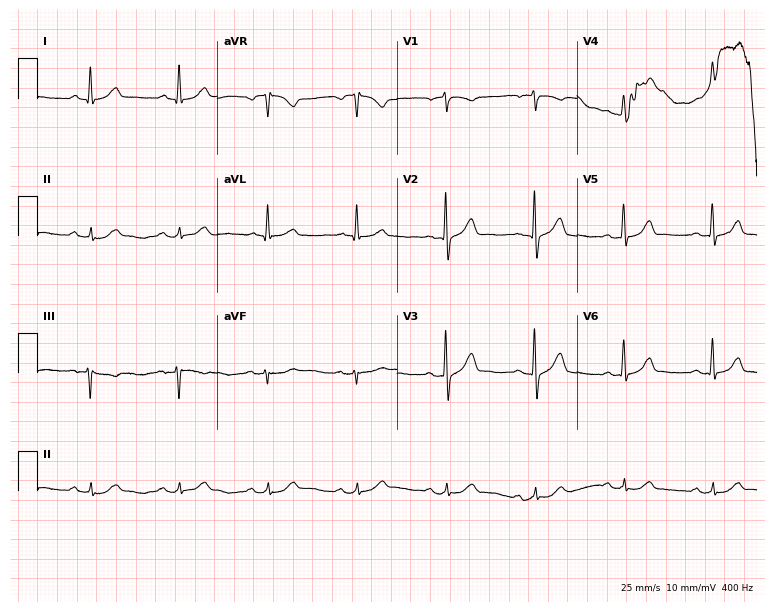
Electrocardiogram, a 75-year-old male. Overall reading on record: normal ECG.